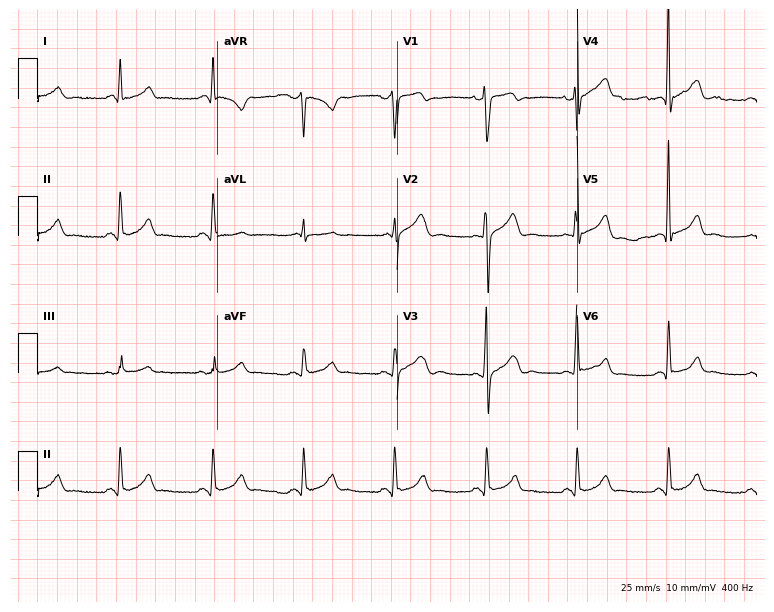
Standard 12-lead ECG recorded from a male patient, 48 years old. Read as a normal ECG.